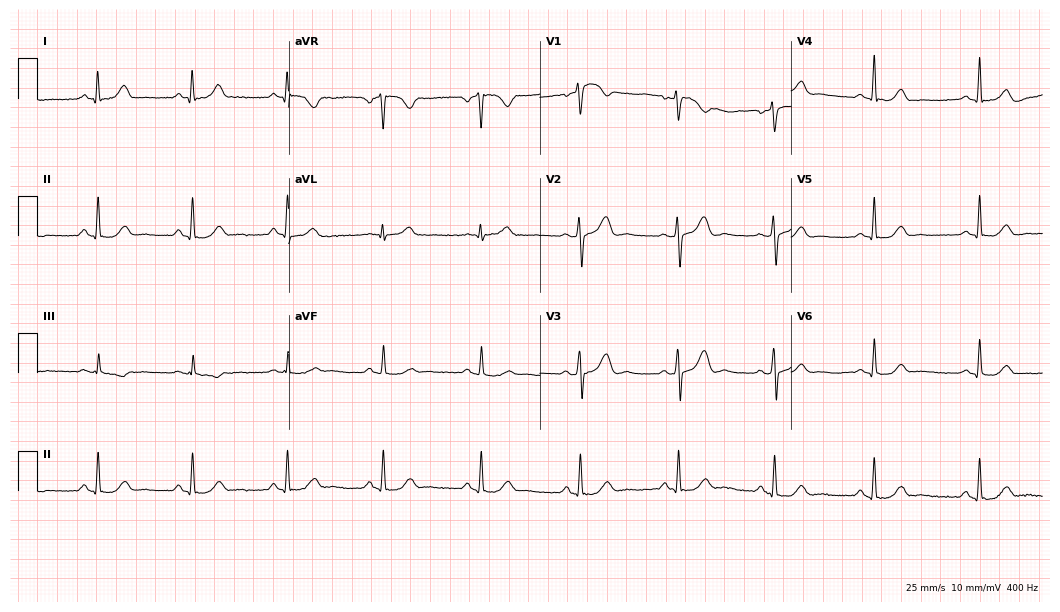
12-lead ECG from a 39-year-old woman (10.2-second recording at 400 Hz). Recorded interpretation: within normal limits.